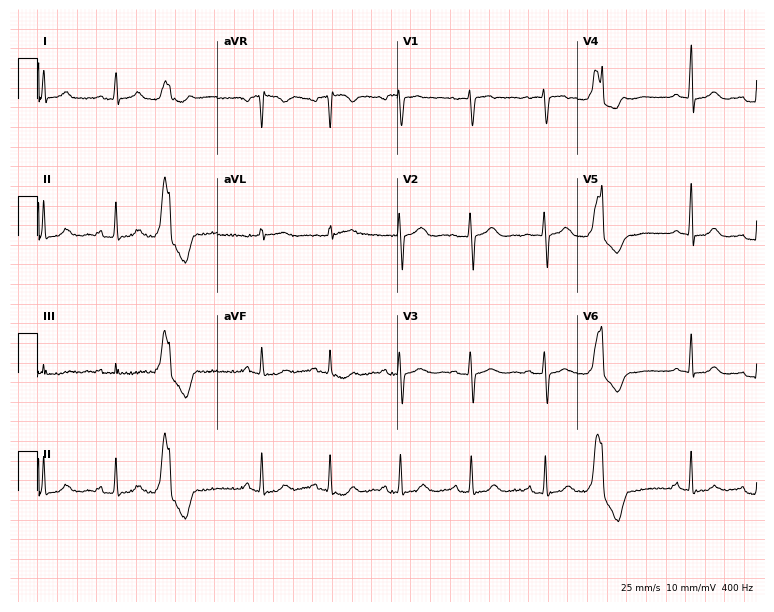
12-lead ECG from a 28-year-old female. Screened for six findings — first-degree AV block, right bundle branch block (RBBB), left bundle branch block (LBBB), sinus bradycardia, atrial fibrillation (AF), sinus tachycardia — none is recorded. Other findings, if any, are not listed.